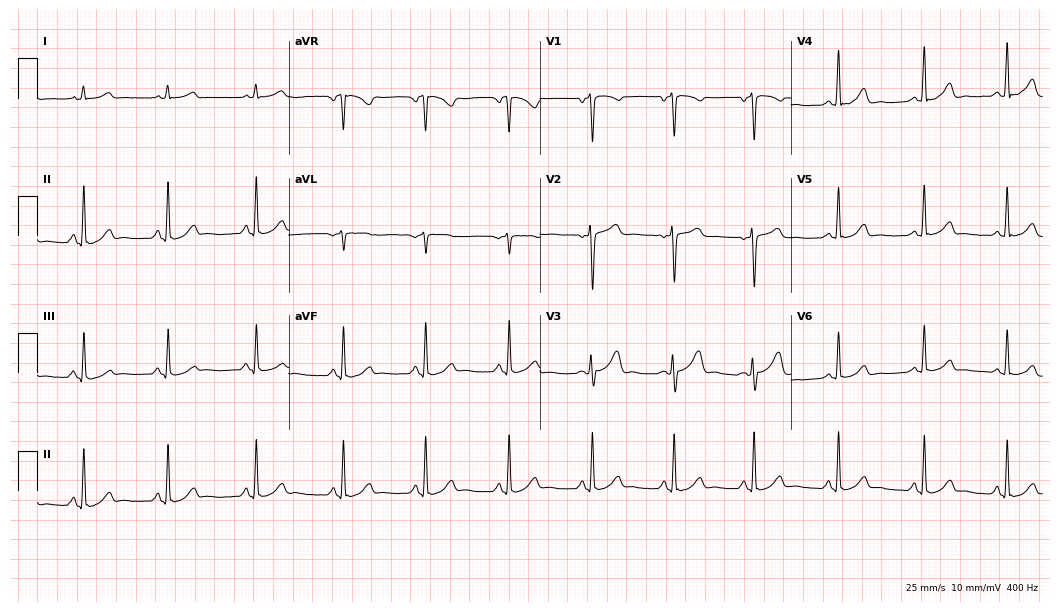
12-lead ECG from a 34-year-old female. No first-degree AV block, right bundle branch block (RBBB), left bundle branch block (LBBB), sinus bradycardia, atrial fibrillation (AF) or sinus tachycardia recorded for this tracing.